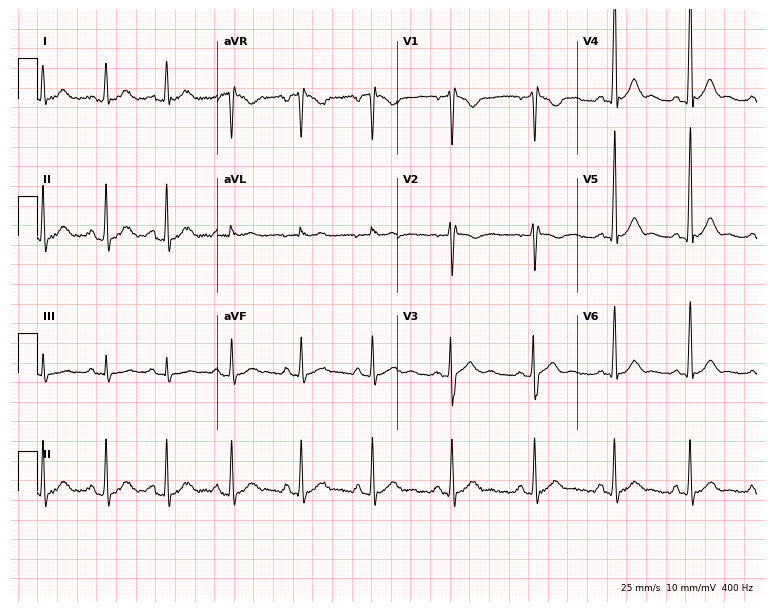
Resting 12-lead electrocardiogram. Patient: a male, 31 years old. Read as a normal ECG.